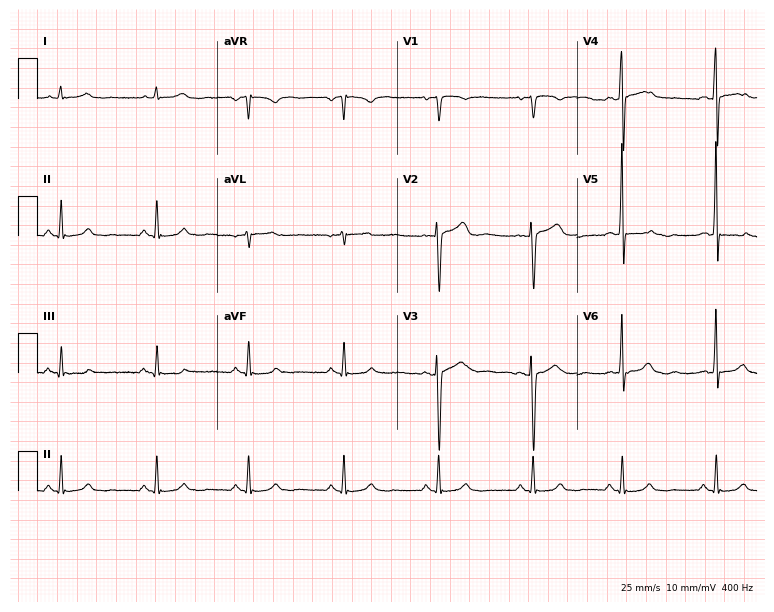
12-lead ECG (7.3-second recording at 400 Hz) from a 28-year-old female. Labelled as a normal ECG.